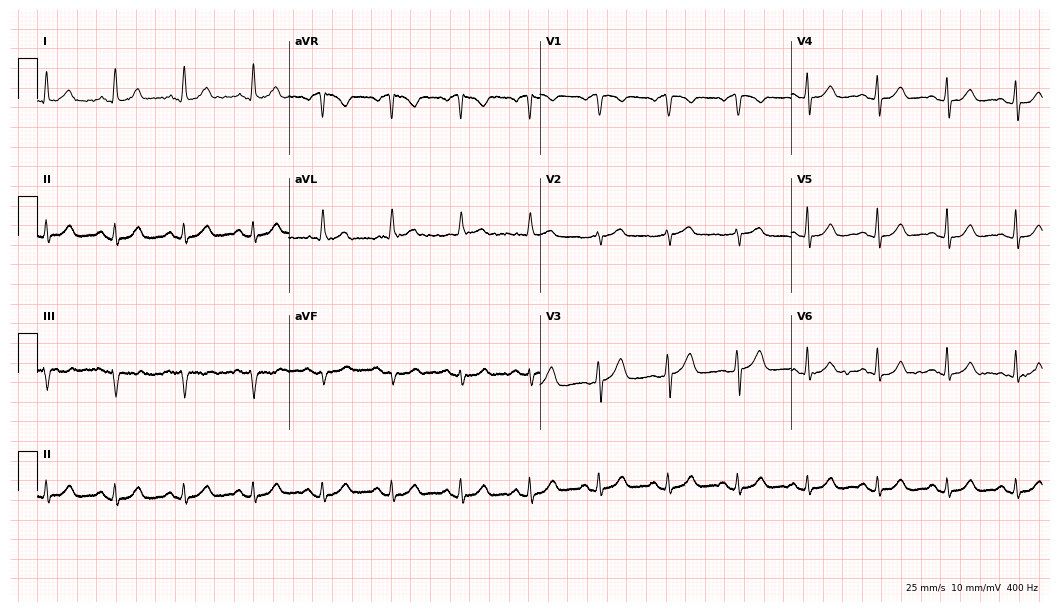
Electrocardiogram, a woman, 85 years old. Of the six screened findings (first-degree AV block, right bundle branch block, left bundle branch block, sinus bradycardia, atrial fibrillation, sinus tachycardia), none is recorded.